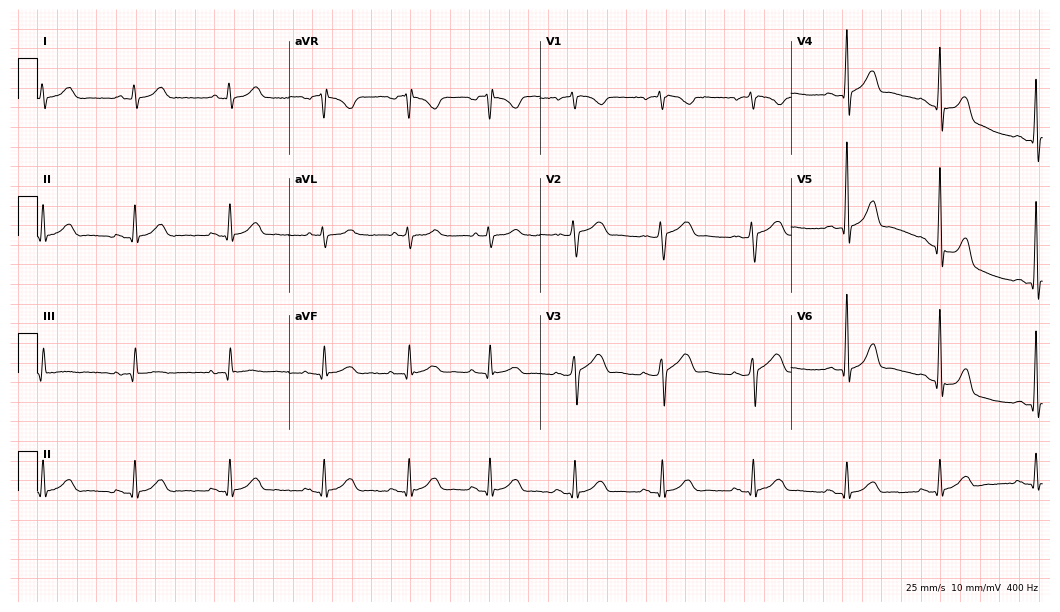
12-lead ECG from a male patient, 44 years old. Recorded interpretation: within normal limits.